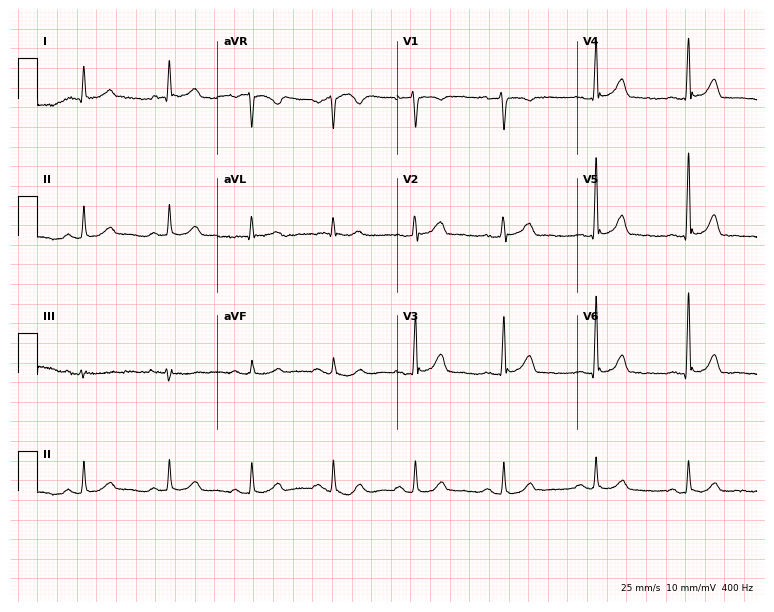
12-lead ECG from a 48-year-old male patient (7.3-second recording at 400 Hz). No first-degree AV block, right bundle branch block, left bundle branch block, sinus bradycardia, atrial fibrillation or sinus tachycardia recorded for this tracing.